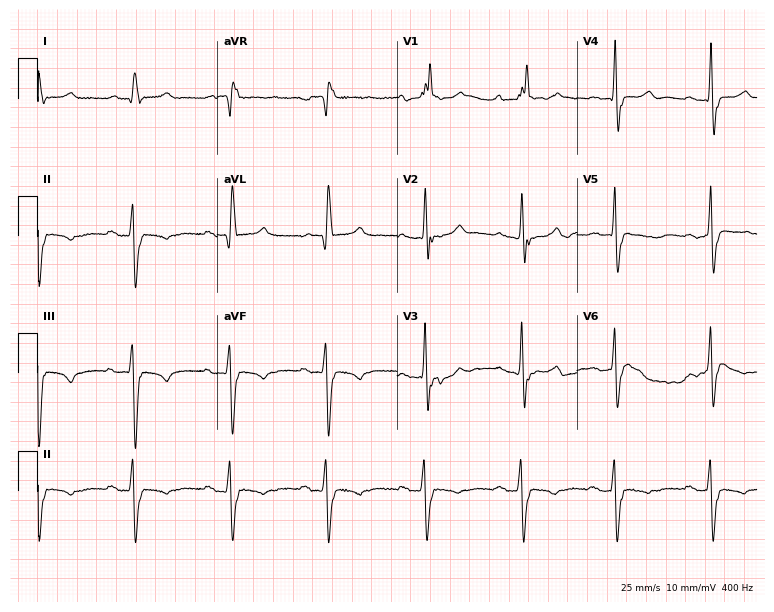
12-lead ECG from a man, 81 years old. Screened for six findings — first-degree AV block, right bundle branch block, left bundle branch block, sinus bradycardia, atrial fibrillation, sinus tachycardia — none is recorded.